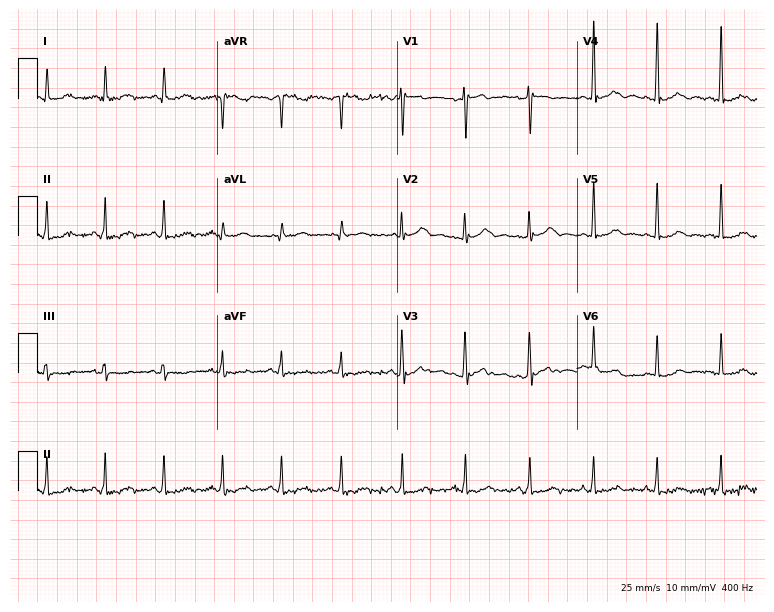
ECG — a woman, 40 years old. Screened for six findings — first-degree AV block, right bundle branch block (RBBB), left bundle branch block (LBBB), sinus bradycardia, atrial fibrillation (AF), sinus tachycardia — none is recorded.